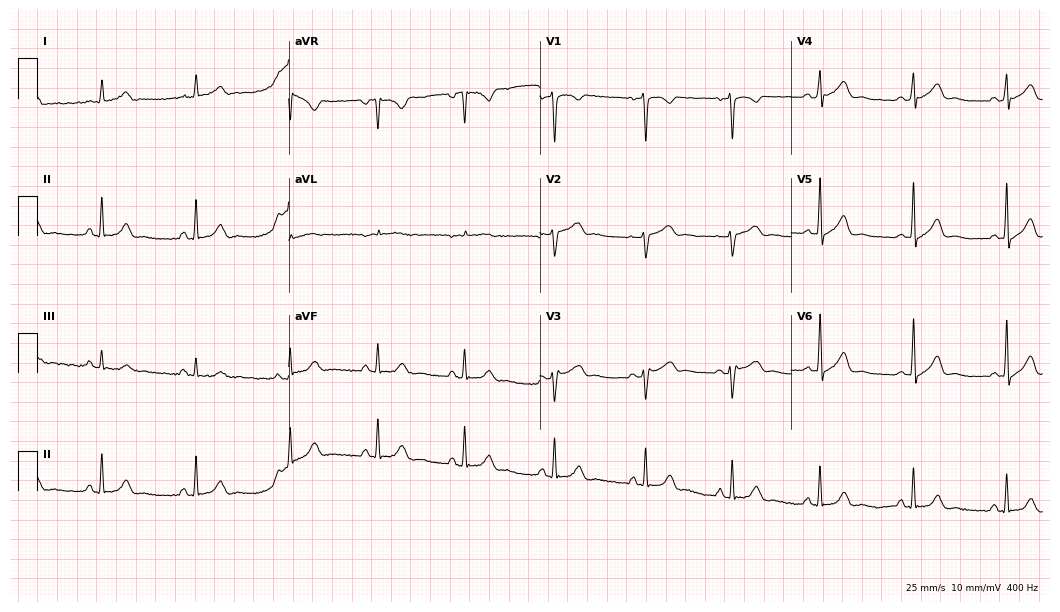
12-lead ECG from a female patient, 34 years old (10.2-second recording at 400 Hz). Recorded interpretation: within normal limits.